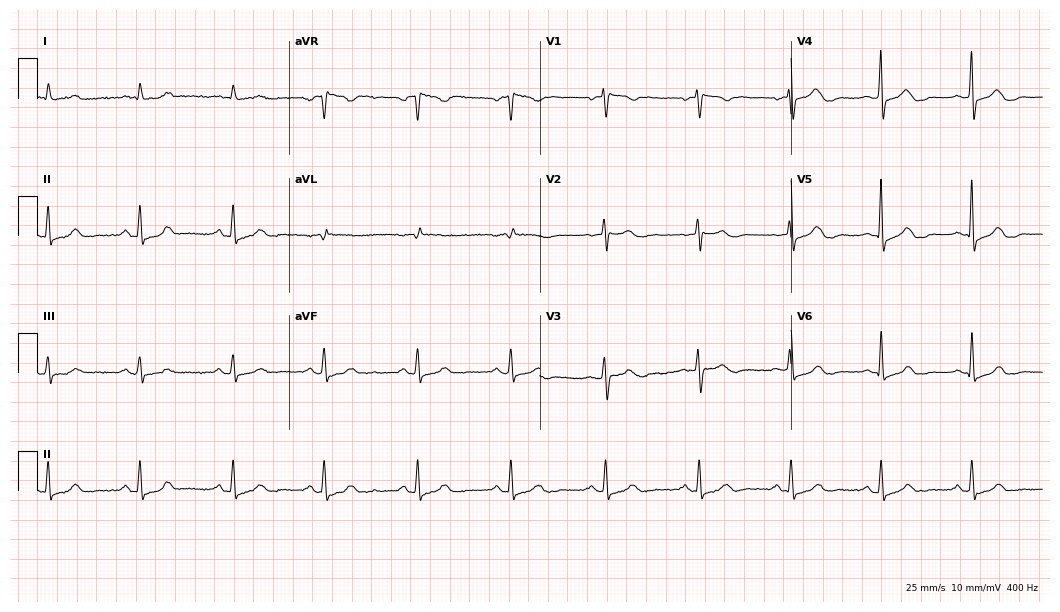
12-lead ECG from a female, 82 years old. Labelled as a normal ECG.